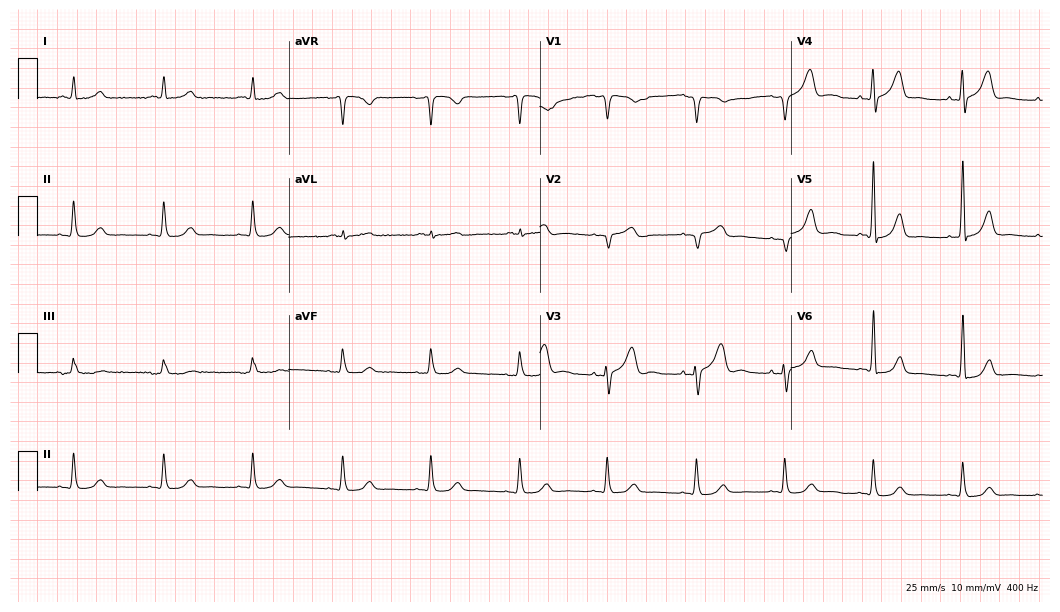
Electrocardiogram (10.2-second recording at 400 Hz), an 80-year-old male. Of the six screened findings (first-degree AV block, right bundle branch block, left bundle branch block, sinus bradycardia, atrial fibrillation, sinus tachycardia), none is recorded.